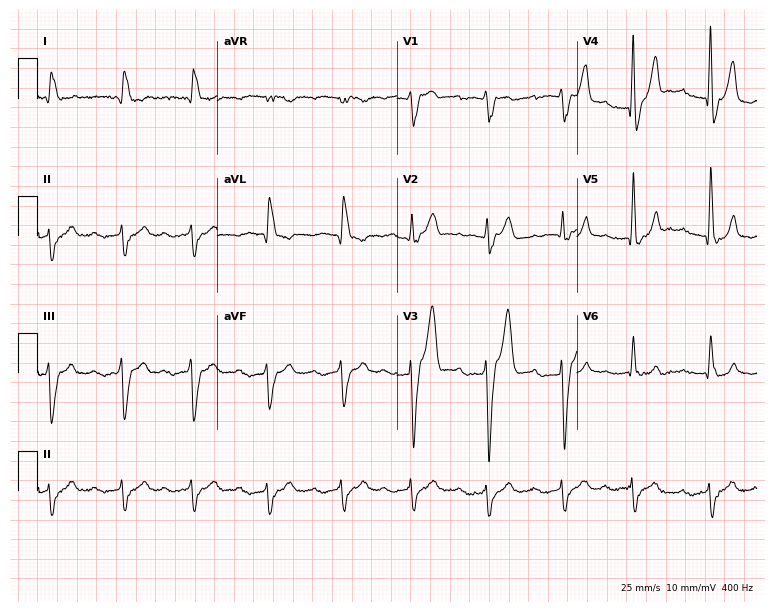
Resting 12-lead electrocardiogram. Patient: an 84-year-old female. The tracing shows first-degree AV block, right bundle branch block.